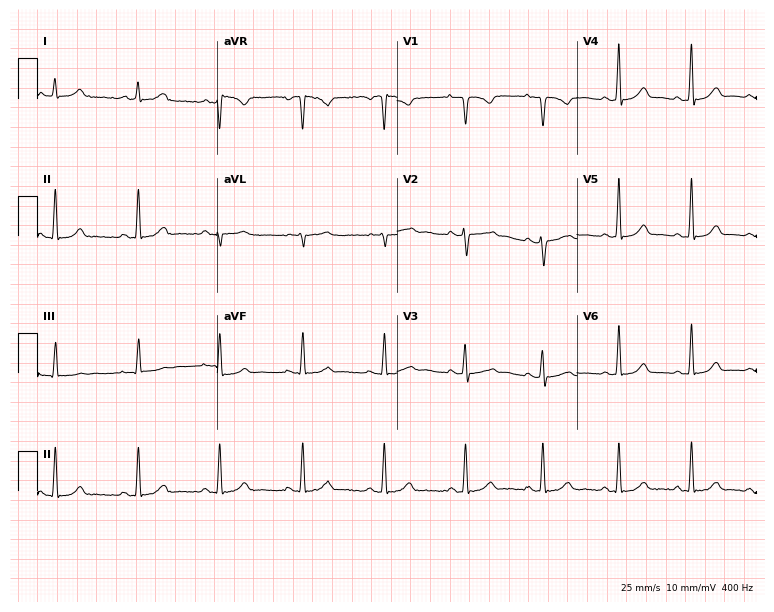
Electrocardiogram (7.3-second recording at 400 Hz), a 38-year-old female. Of the six screened findings (first-degree AV block, right bundle branch block, left bundle branch block, sinus bradycardia, atrial fibrillation, sinus tachycardia), none is recorded.